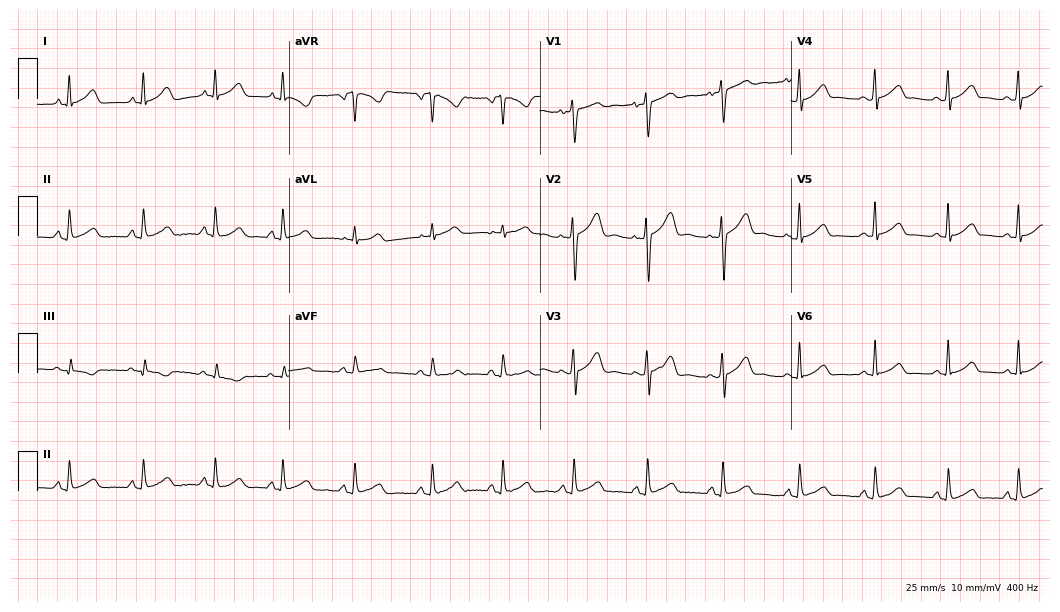
Standard 12-lead ECG recorded from a female, 32 years old (10.2-second recording at 400 Hz). Read as a normal ECG.